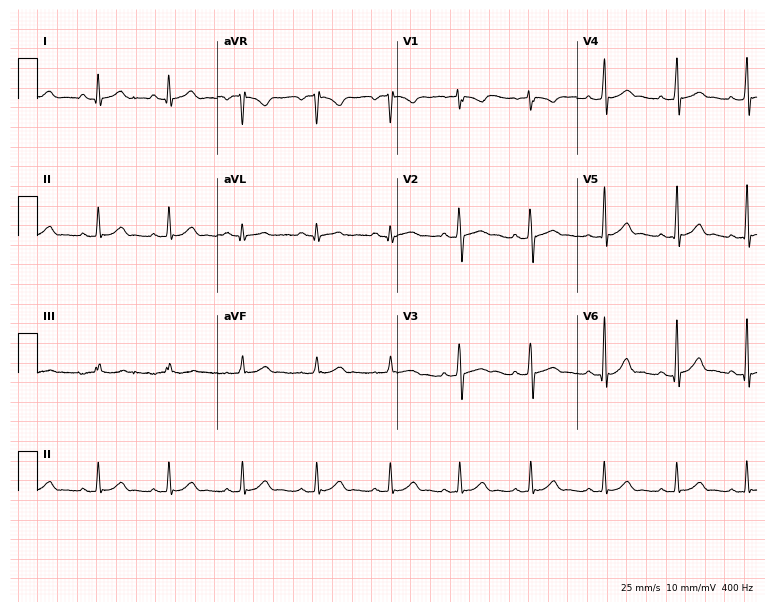
Electrocardiogram, an 18-year-old female. Overall reading on record: normal ECG.